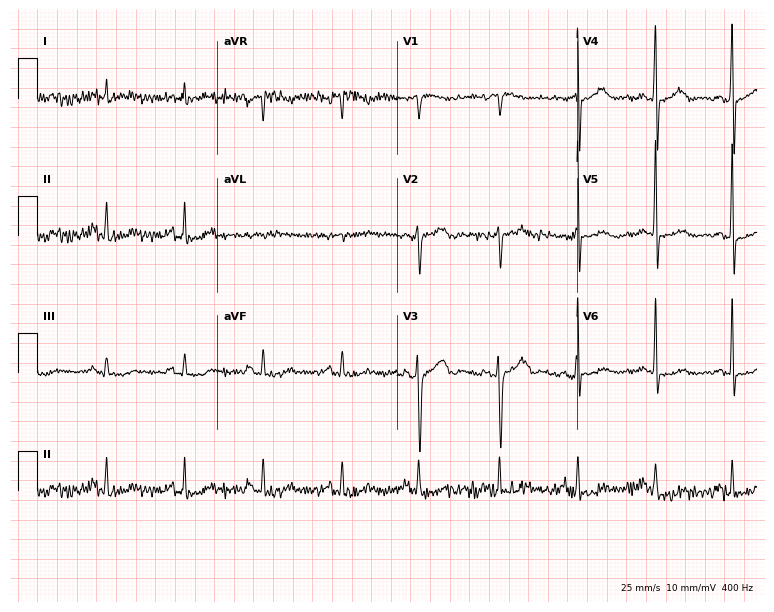
12-lead ECG from a male patient, 74 years old. No first-degree AV block, right bundle branch block (RBBB), left bundle branch block (LBBB), sinus bradycardia, atrial fibrillation (AF) or sinus tachycardia recorded for this tracing.